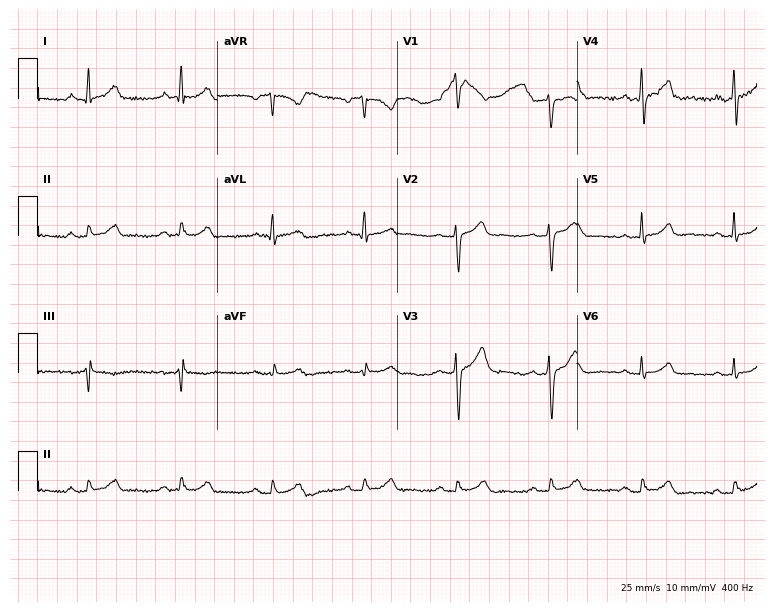
Standard 12-lead ECG recorded from a 36-year-old male. None of these six findings is recorded: first-degree AV block, right bundle branch block, left bundle branch block, sinus bradycardia, atrial fibrillation, sinus tachycardia. Only these six findings were labelled.